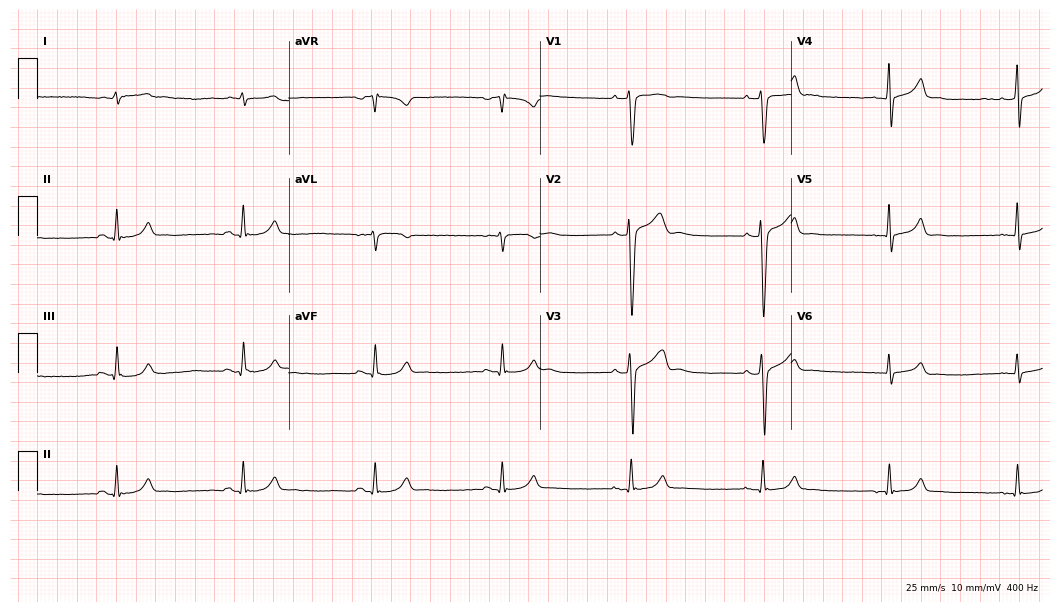
12-lead ECG from a male, 32 years old. Findings include sinus bradycardia (a sinus rate of 50 beats per minute or less).